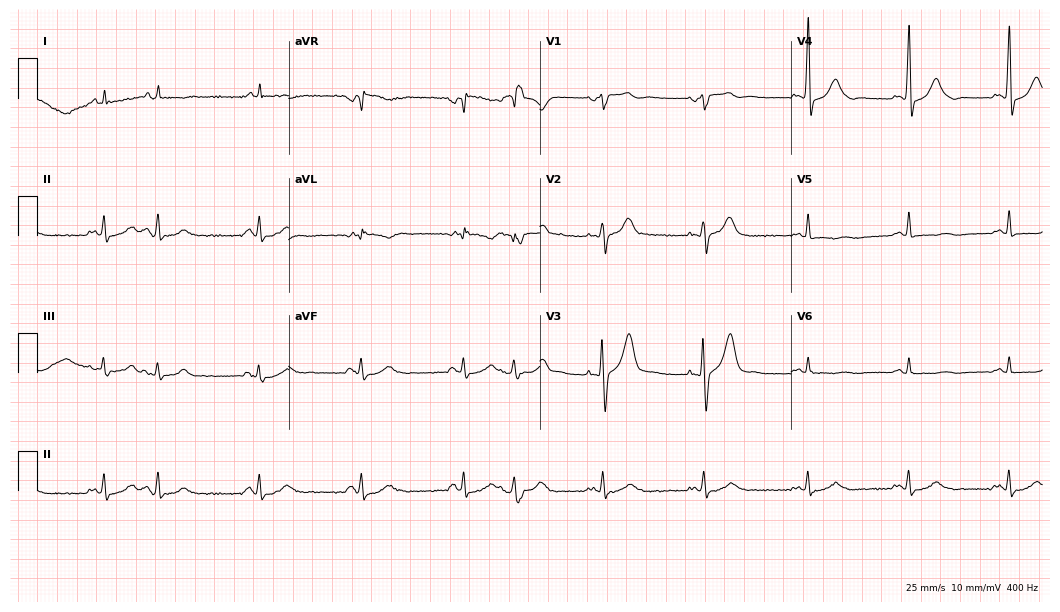
Standard 12-lead ECG recorded from an 82-year-old male. None of these six findings is recorded: first-degree AV block, right bundle branch block (RBBB), left bundle branch block (LBBB), sinus bradycardia, atrial fibrillation (AF), sinus tachycardia. Findings outside these six are not listed.